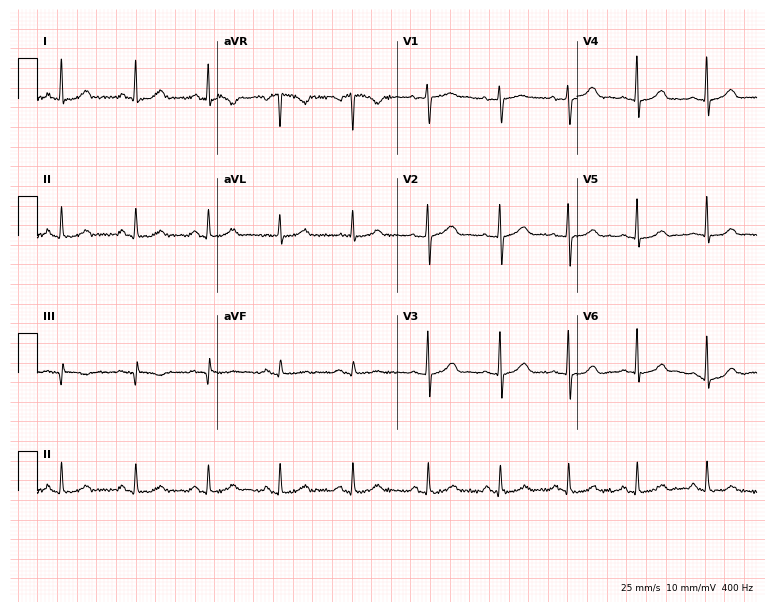
12-lead ECG from a female, 36 years old. No first-degree AV block, right bundle branch block (RBBB), left bundle branch block (LBBB), sinus bradycardia, atrial fibrillation (AF) or sinus tachycardia recorded for this tracing. Findings outside these six are not listed.